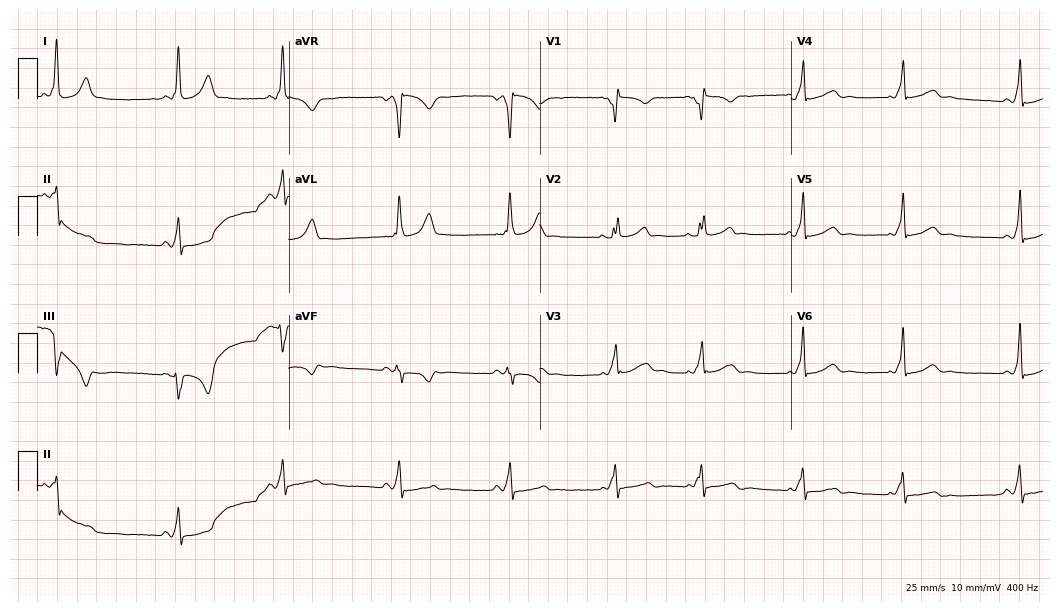
Standard 12-lead ECG recorded from a female patient, 18 years old. None of these six findings is recorded: first-degree AV block, right bundle branch block (RBBB), left bundle branch block (LBBB), sinus bradycardia, atrial fibrillation (AF), sinus tachycardia.